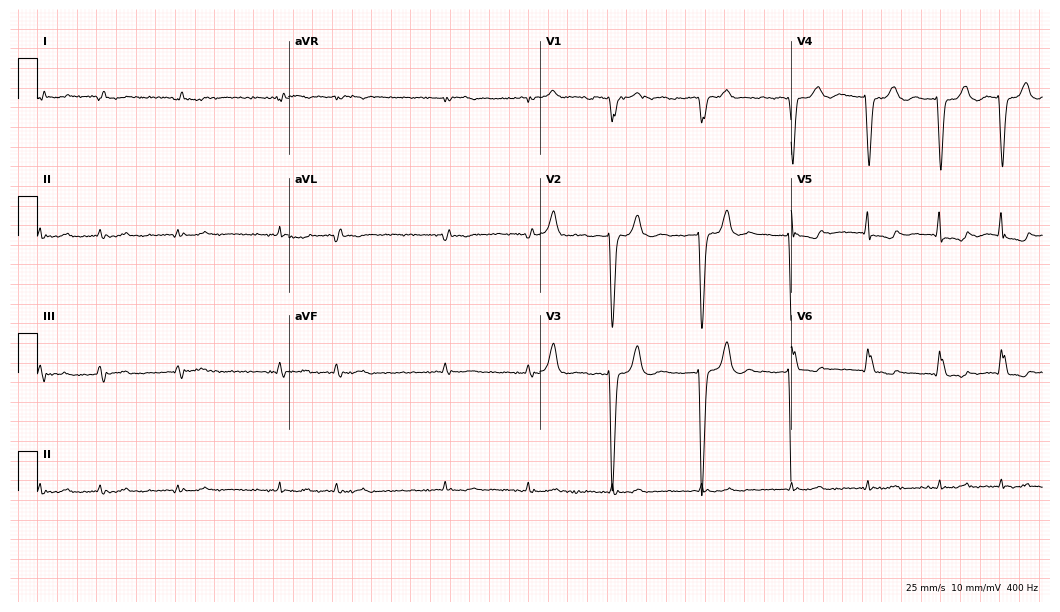
12-lead ECG from an 82-year-old male. Shows left bundle branch block (LBBB), atrial fibrillation (AF).